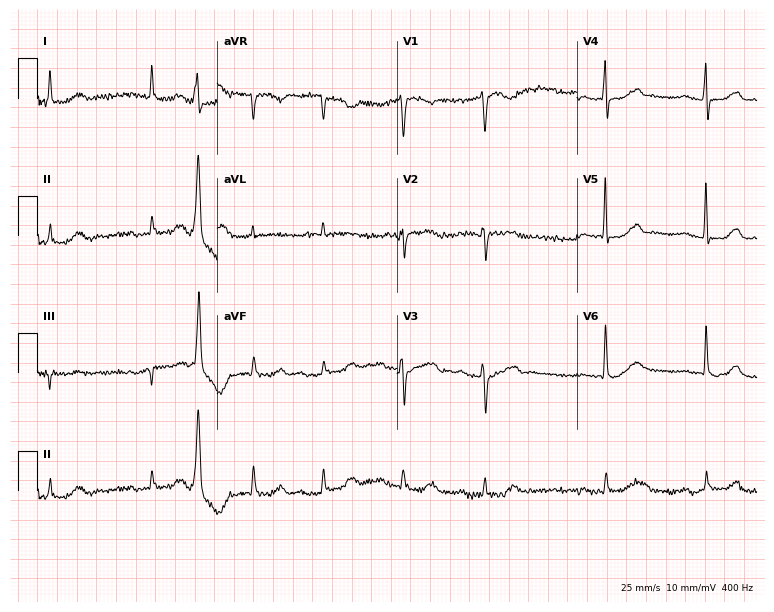
12-lead ECG (7.3-second recording at 400 Hz) from a 79-year-old female patient. Screened for six findings — first-degree AV block, right bundle branch block, left bundle branch block, sinus bradycardia, atrial fibrillation, sinus tachycardia — none is recorded.